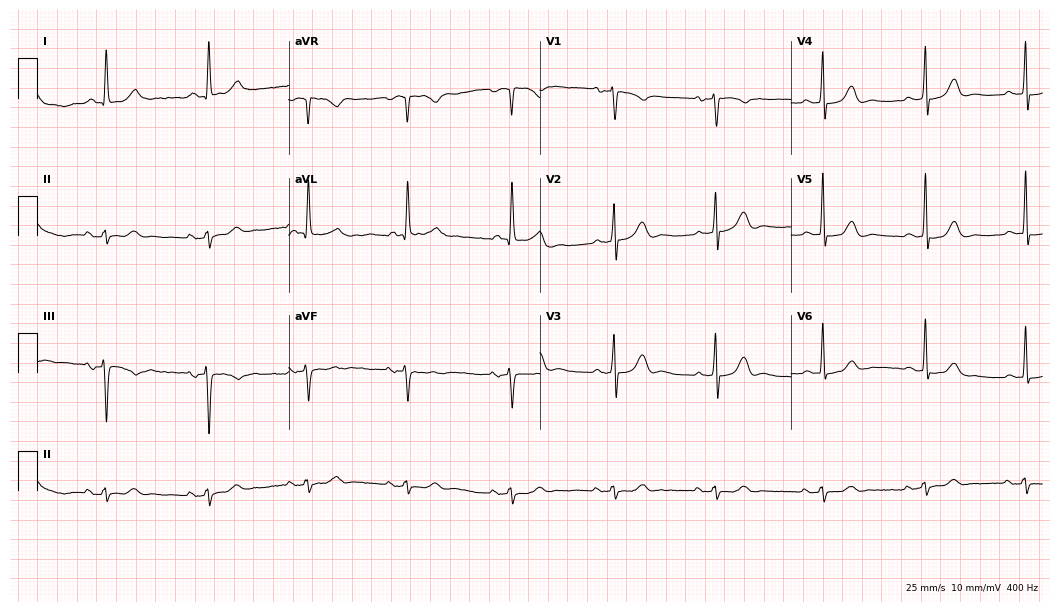
Standard 12-lead ECG recorded from a 72-year-old female patient. Read as a normal ECG.